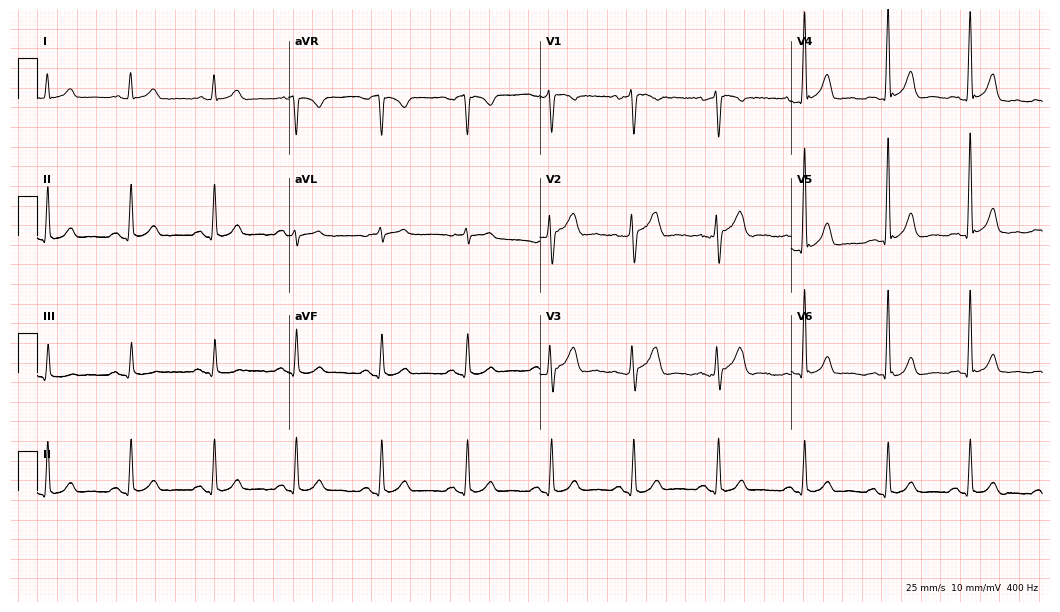
Electrocardiogram, a woman, 52 years old. Overall reading on record: normal ECG.